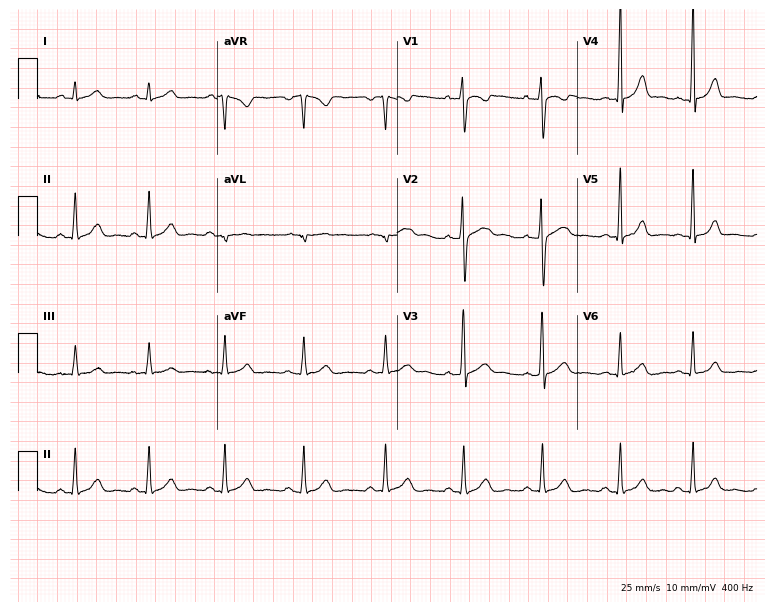
Resting 12-lead electrocardiogram. Patient: a 24-year-old female. Read as a normal ECG.